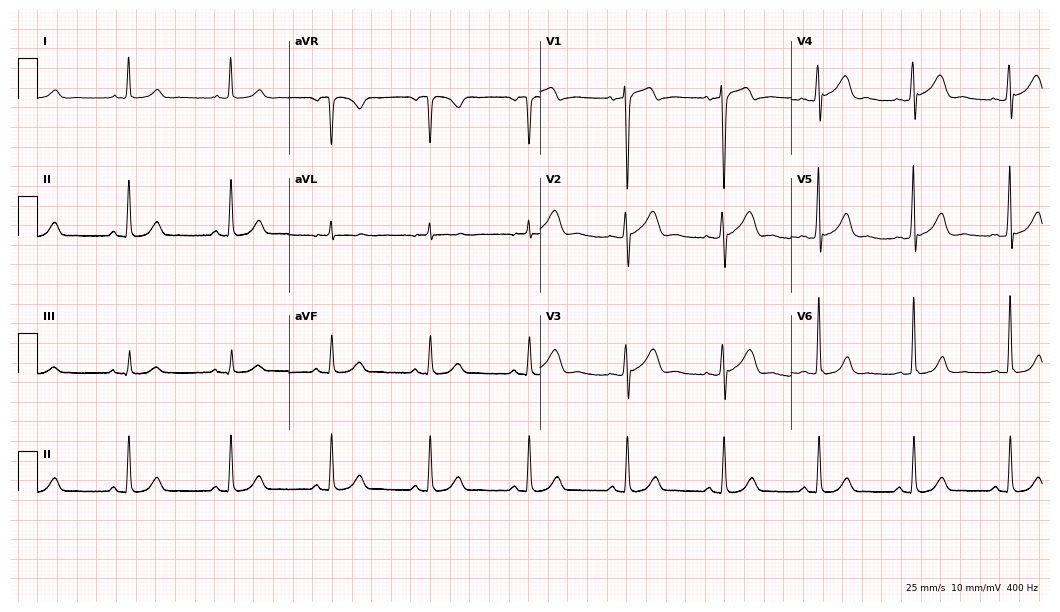
ECG — a 52-year-old male patient. Labelled as a normal ECG.